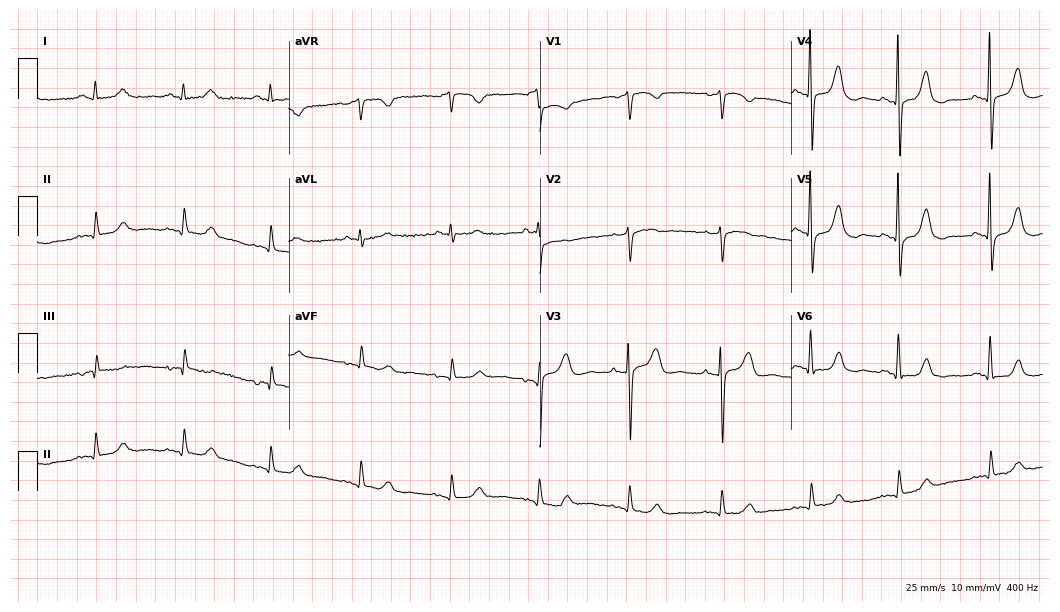
12-lead ECG (10.2-second recording at 400 Hz) from a female, 84 years old. Labelled as a normal ECG.